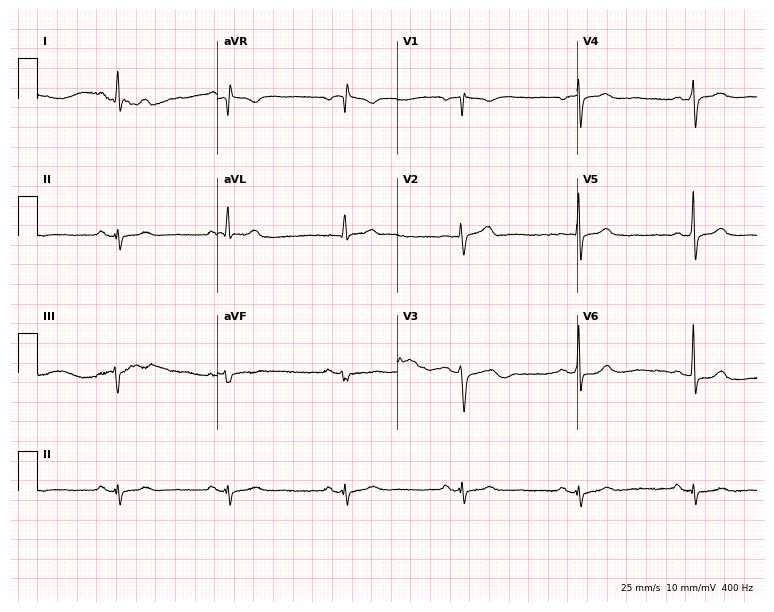
Electrocardiogram, a 54-year-old male patient. Of the six screened findings (first-degree AV block, right bundle branch block, left bundle branch block, sinus bradycardia, atrial fibrillation, sinus tachycardia), none is recorded. Other findings, if any, are not listed.